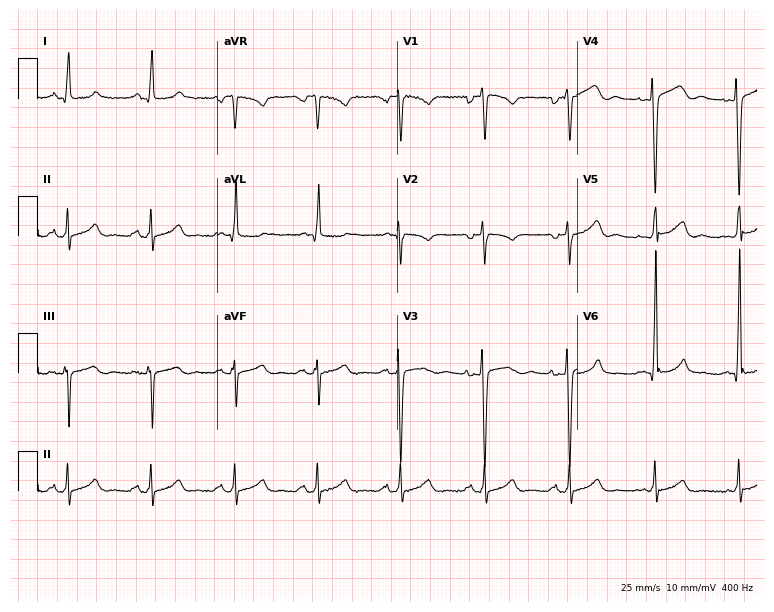
12-lead ECG from a female, 36 years old. Recorded interpretation: within normal limits.